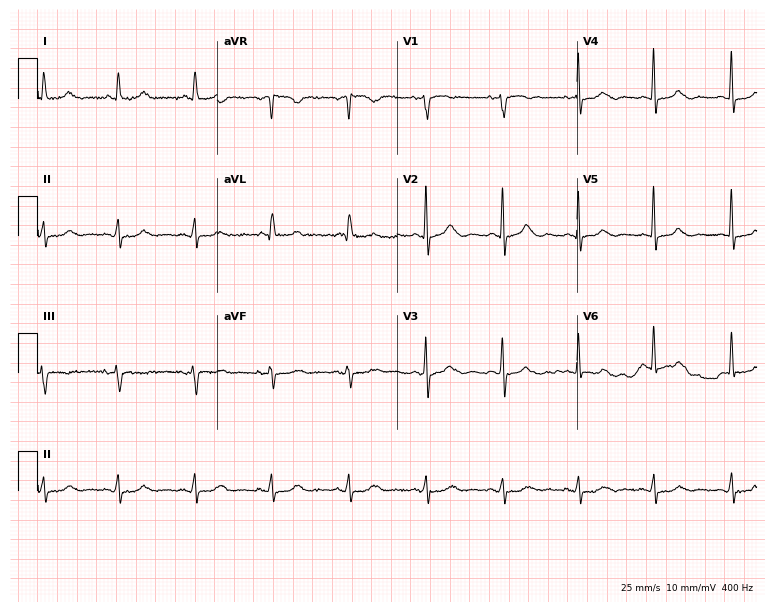
Resting 12-lead electrocardiogram (7.3-second recording at 400 Hz). Patient: a female, 77 years old. Read as a normal ECG.